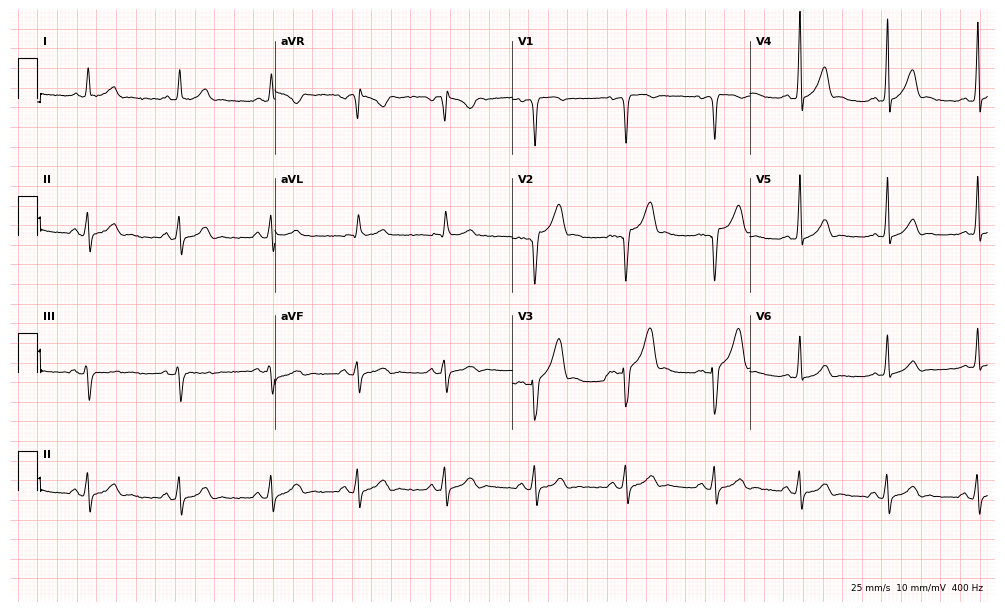
Standard 12-lead ECG recorded from a male patient, 41 years old (9.7-second recording at 400 Hz). Read as a normal ECG.